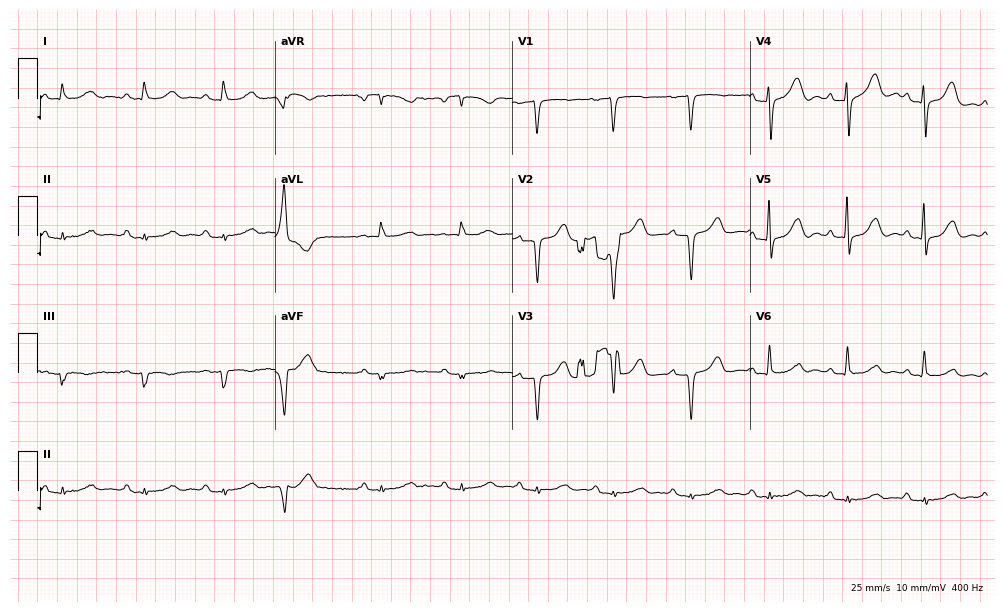
ECG (9.7-second recording at 400 Hz) — a 74-year-old man. Labelled as a normal ECG.